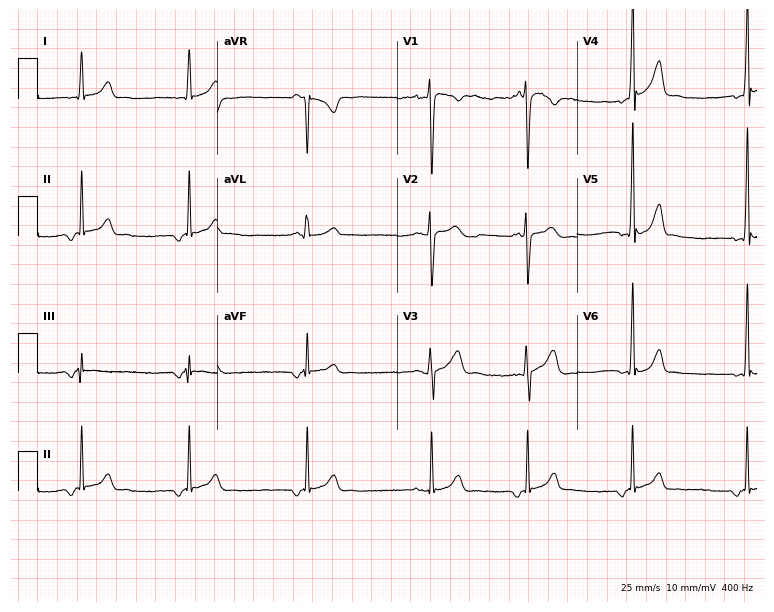
Electrocardiogram, a man, 20 years old. Of the six screened findings (first-degree AV block, right bundle branch block, left bundle branch block, sinus bradycardia, atrial fibrillation, sinus tachycardia), none is recorded. Only these six findings were labelled.